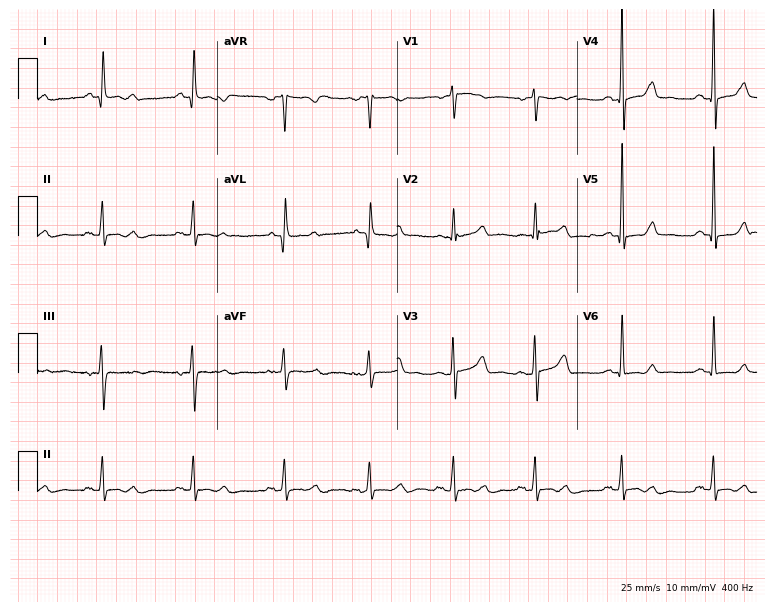
12-lead ECG (7.3-second recording at 400 Hz) from a 43-year-old woman. Labelled as a normal ECG.